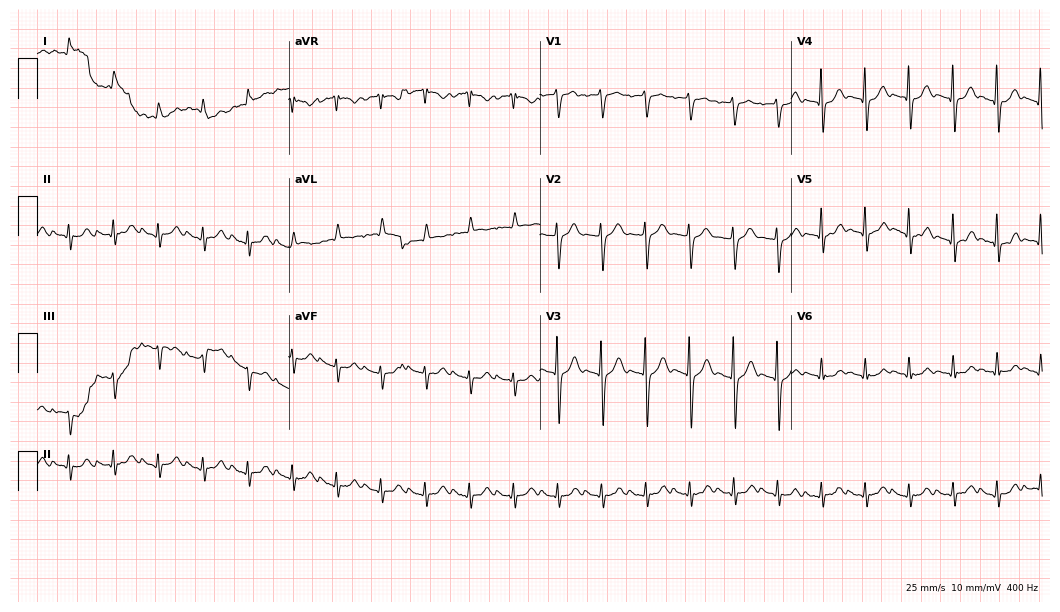
Standard 12-lead ECG recorded from a man, 82 years old (10.2-second recording at 400 Hz). The tracing shows sinus tachycardia (a sinus rate of 100 beats per minute or more).